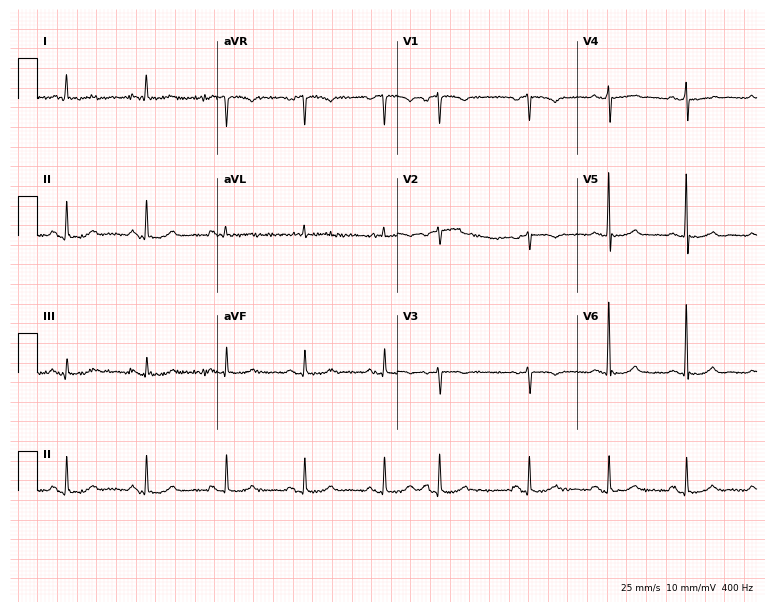
12-lead ECG from a female patient, 75 years old. Screened for six findings — first-degree AV block, right bundle branch block, left bundle branch block, sinus bradycardia, atrial fibrillation, sinus tachycardia — none is recorded.